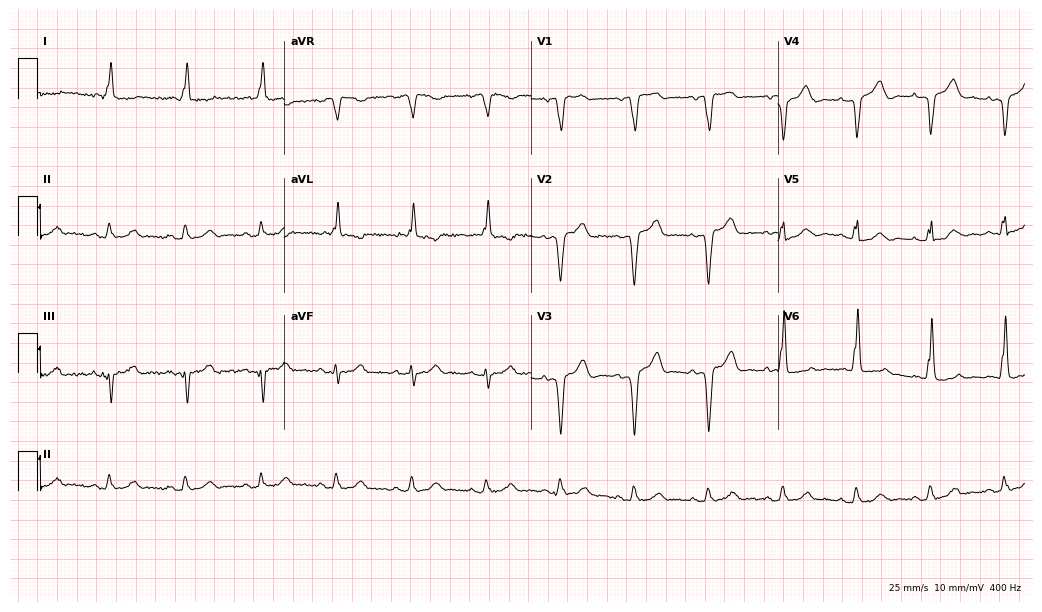
12-lead ECG from a man, 83 years old. Screened for six findings — first-degree AV block, right bundle branch block, left bundle branch block, sinus bradycardia, atrial fibrillation, sinus tachycardia — none is recorded. Other findings, if any, are not listed.